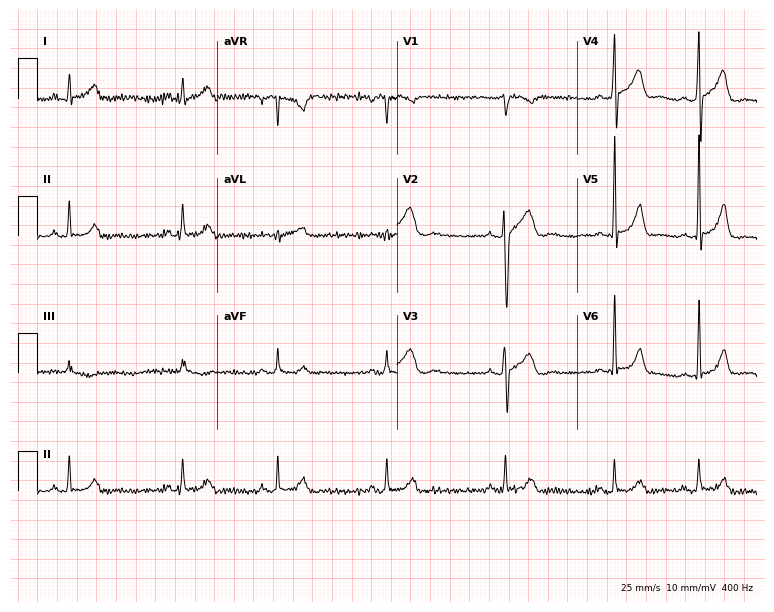
Standard 12-lead ECG recorded from a 31-year-old male. Read as a normal ECG.